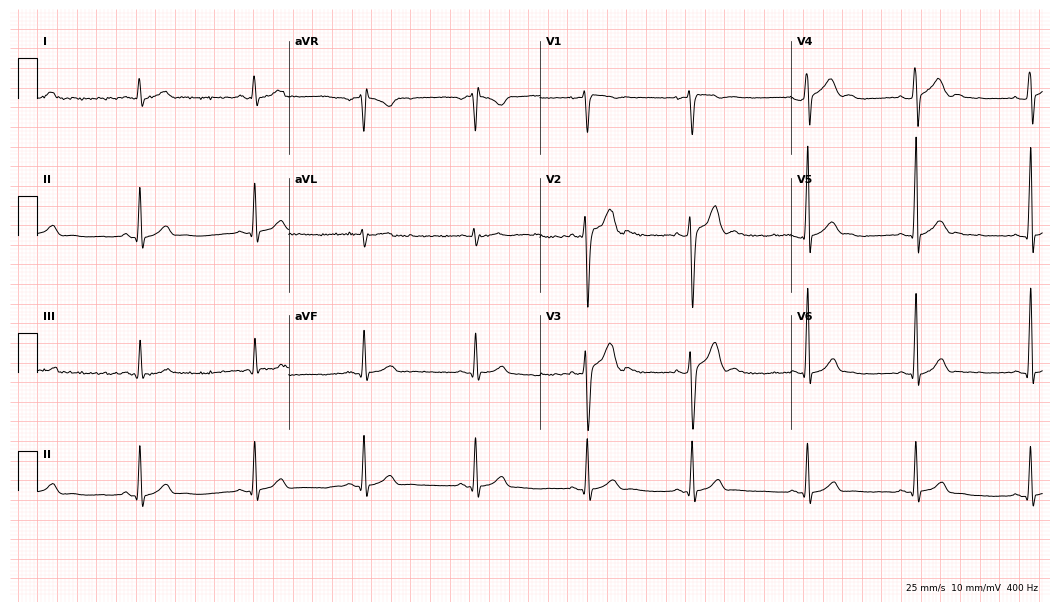
Resting 12-lead electrocardiogram (10.2-second recording at 400 Hz). Patient: a 21-year-old male. Read as a normal ECG.